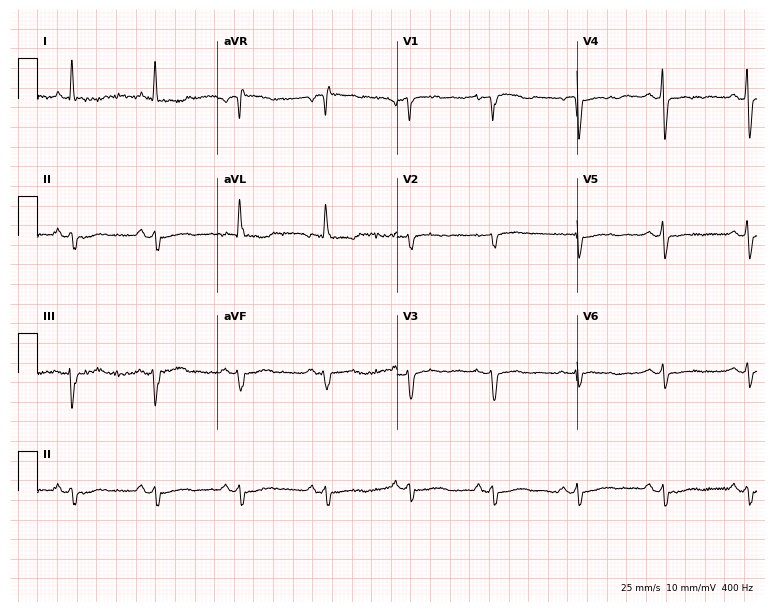
12-lead ECG (7.3-second recording at 400 Hz) from an 83-year-old woman. Screened for six findings — first-degree AV block, right bundle branch block, left bundle branch block, sinus bradycardia, atrial fibrillation, sinus tachycardia — none is recorded.